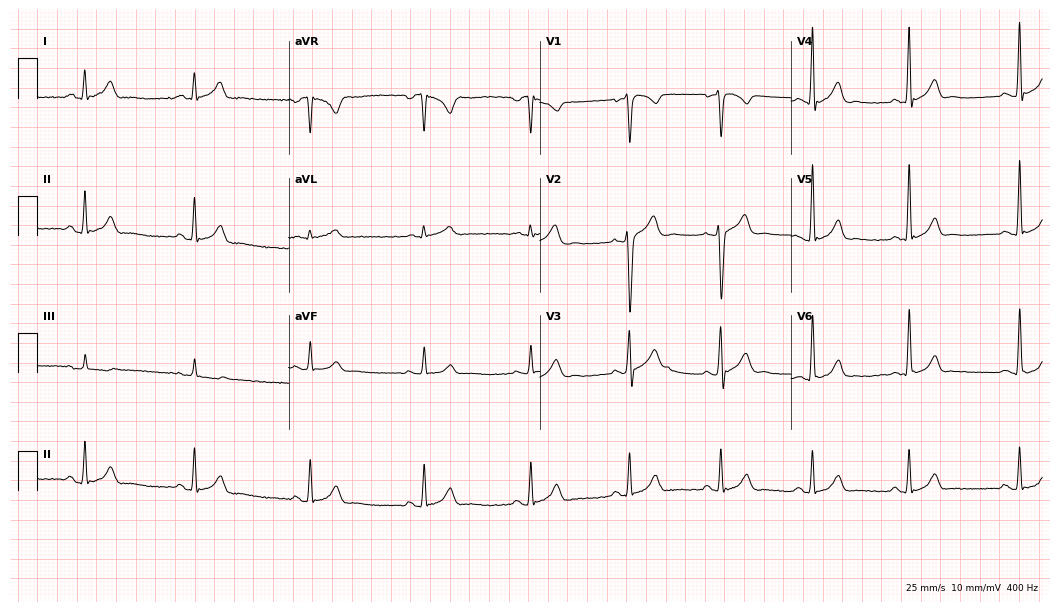
12-lead ECG from a male, 32 years old. Labelled as a normal ECG.